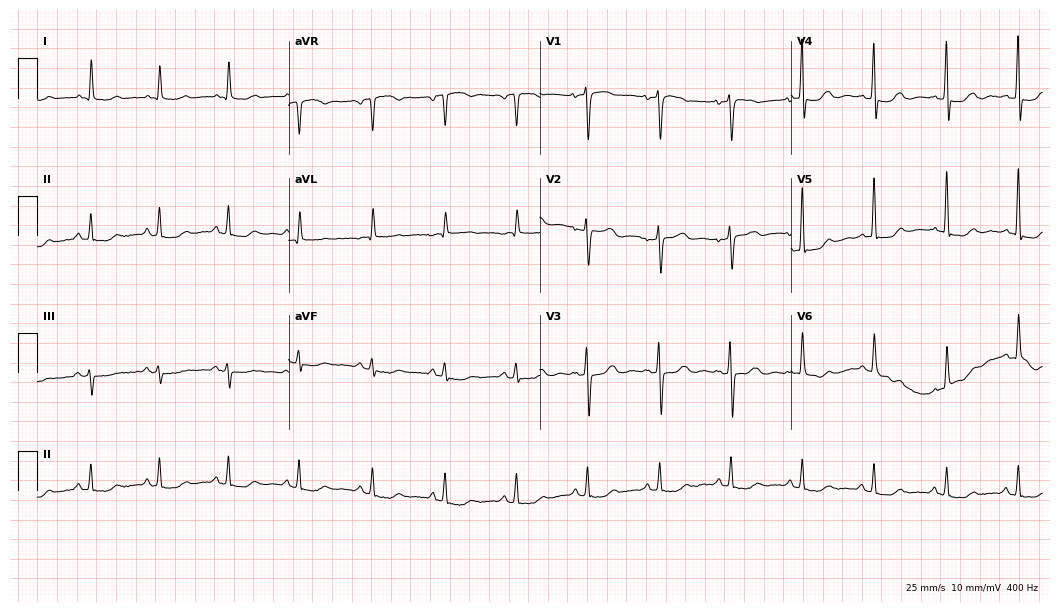
12-lead ECG from a 76-year-old woman. No first-degree AV block, right bundle branch block, left bundle branch block, sinus bradycardia, atrial fibrillation or sinus tachycardia recorded for this tracing.